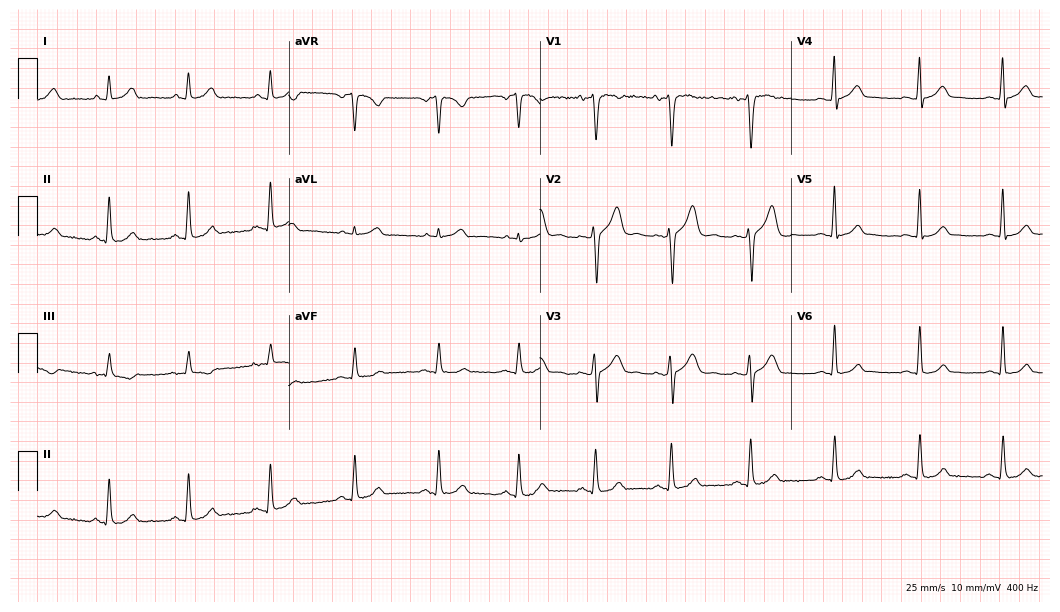
Standard 12-lead ECG recorded from a male patient, 29 years old. Read as a normal ECG.